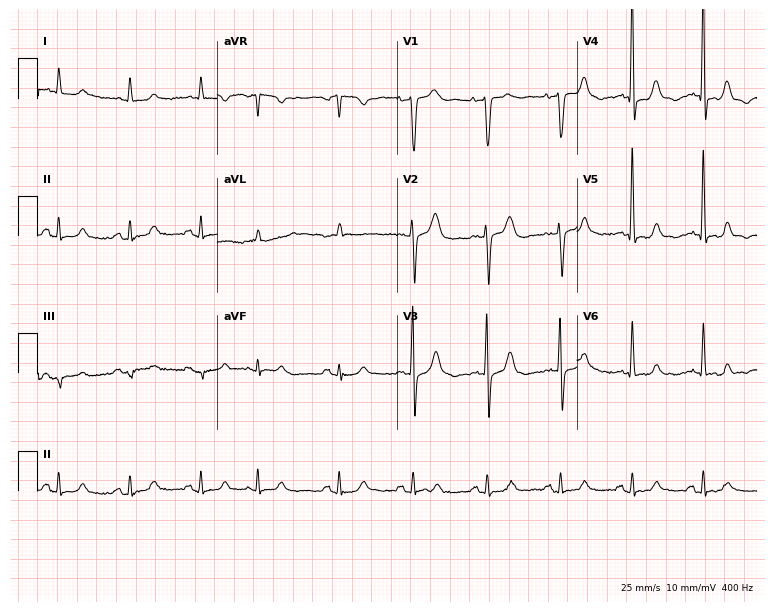
12-lead ECG from a 77-year-old man (7.3-second recording at 400 Hz). No first-degree AV block, right bundle branch block, left bundle branch block, sinus bradycardia, atrial fibrillation or sinus tachycardia recorded for this tracing.